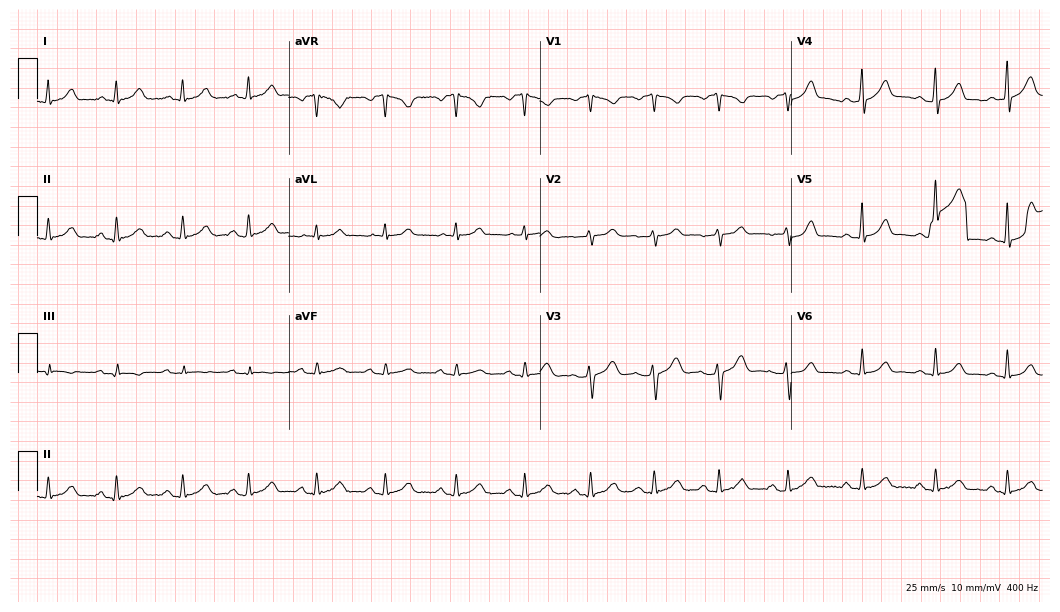
Electrocardiogram, a woman, 37 years old. Overall reading on record: normal ECG.